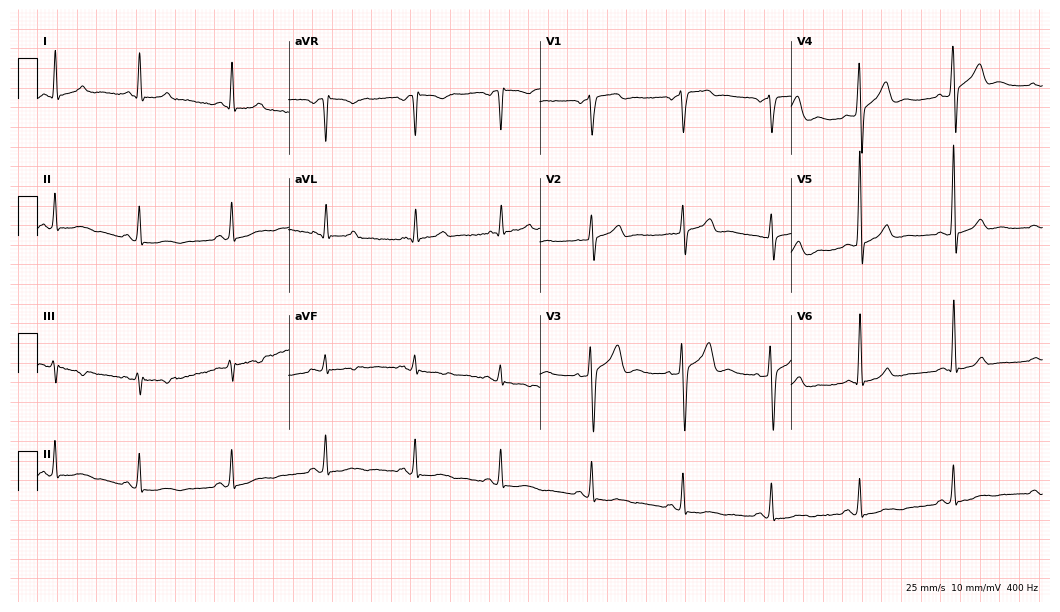
ECG — a 41-year-old man. Screened for six findings — first-degree AV block, right bundle branch block (RBBB), left bundle branch block (LBBB), sinus bradycardia, atrial fibrillation (AF), sinus tachycardia — none is recorded. Only these six findings were labelled.